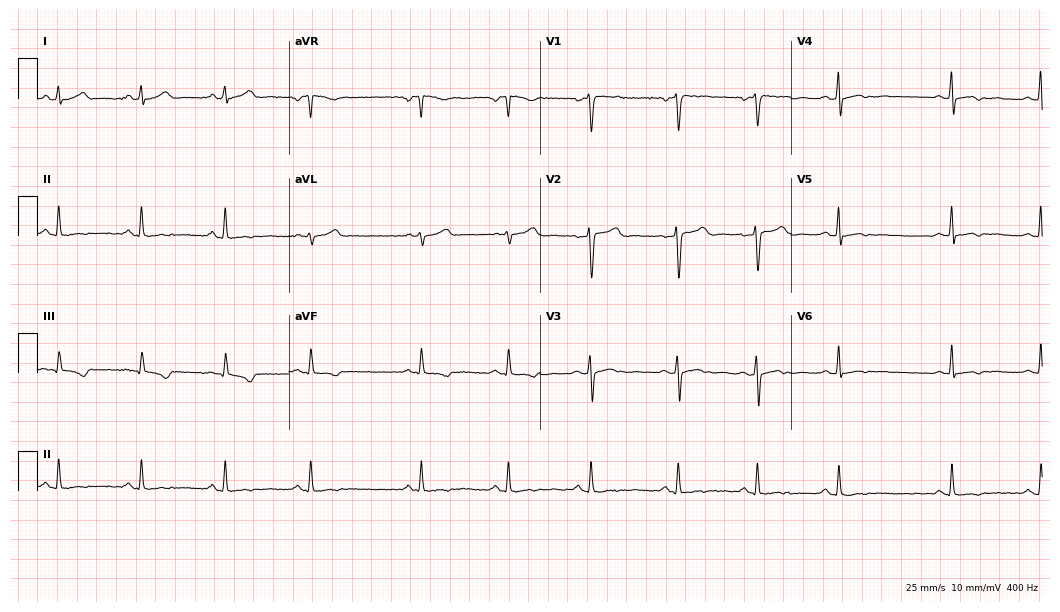
Standard 12-lead ECG recorded from a female, 28 years old. None of these six findings is recorded: first-degree AV block, right bundle branch block, left bundle branch block, sinus bradycardia, atrial fibrillation, sinus tachycardia. Findings outside these six are not listed.